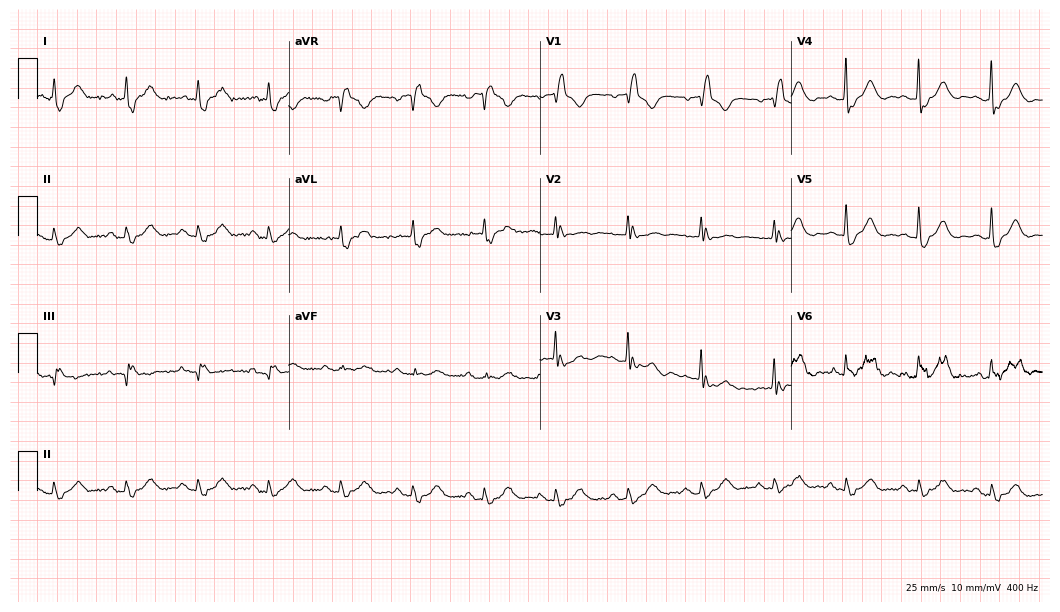
Electrocardiogram (10.2-second recording at 400 Hz), a 70-year-old woman. Interpretation includes right bundle branch block.